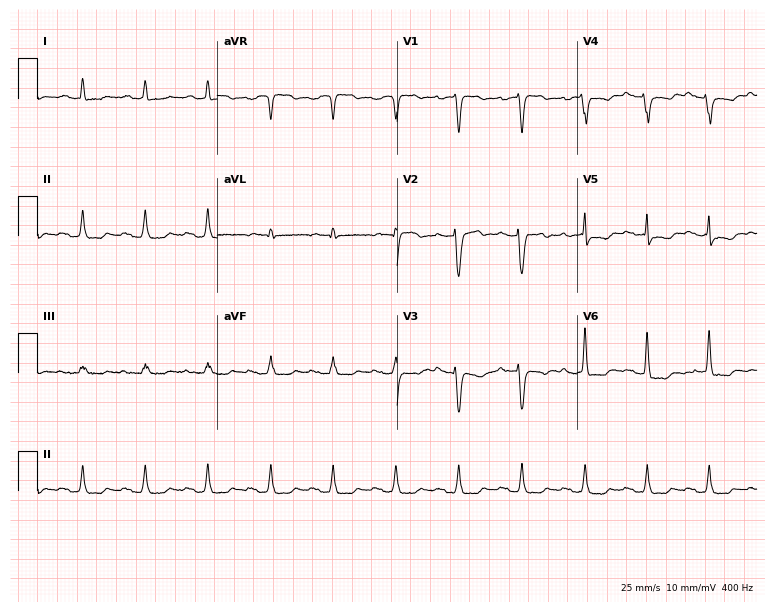
Electrocardiogram (7.3-second recording at 400 Hz), an 81-year-old male. Of the six screened findings (first-degree AV block, right bundle branch block, left bundle branch block, sinus bradycardia, atrial fibrillation, sinus tachycardia), none is recorded. Only these six findings were labelled.